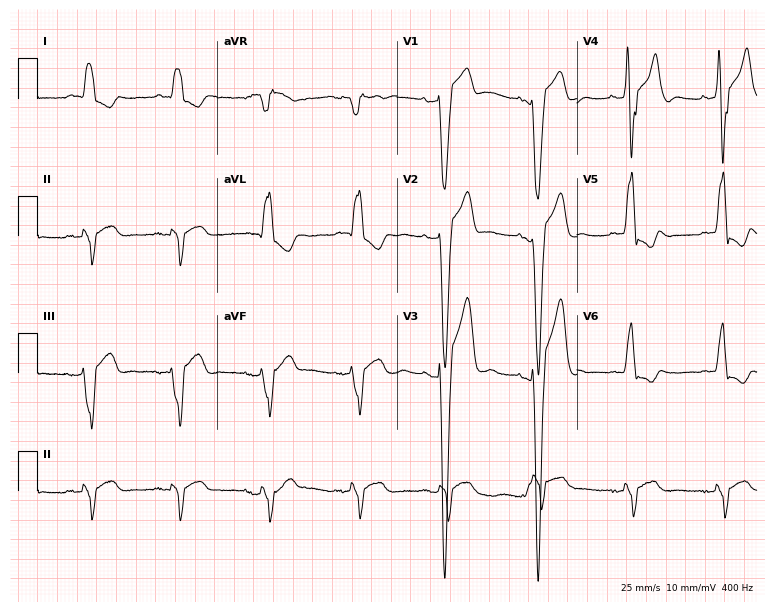
Electrocardiogram, an 83-year-old male. Interpretation includes left bundle branch block.